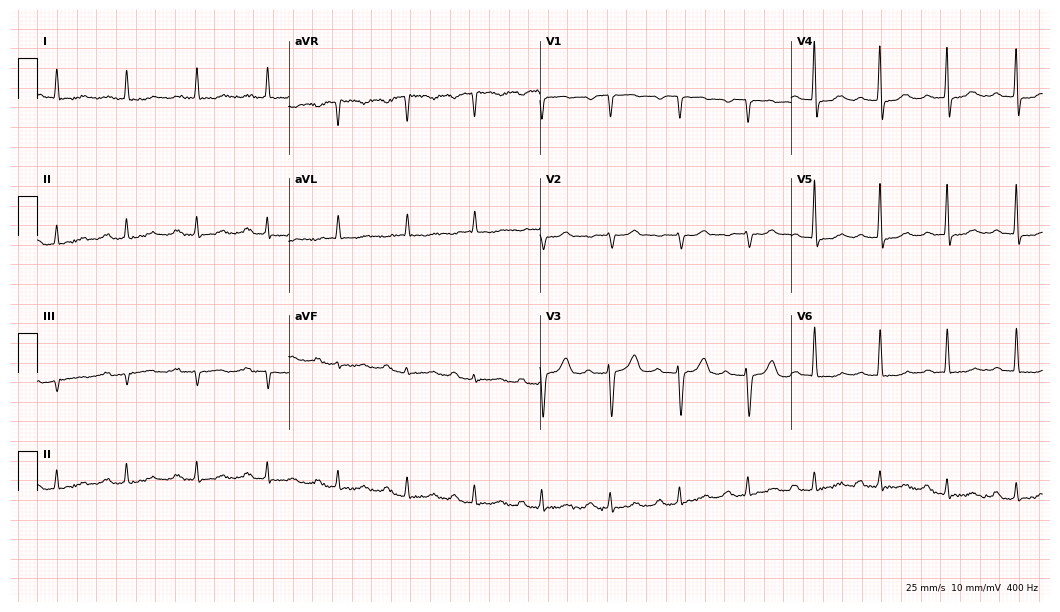
12-lead ECG from a 78-year-old female patient (10.2-second recording at 400 Hz). Shows first-degree AV block.